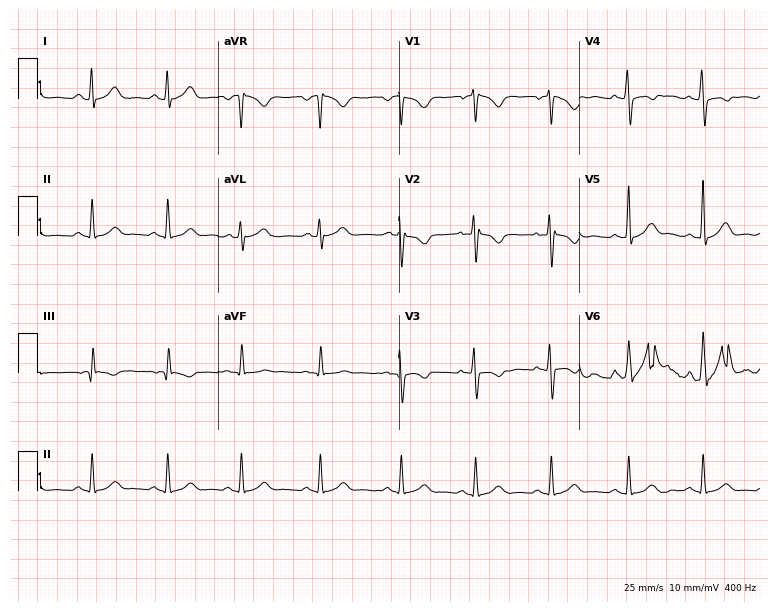
12-lead ECG from a female patient, 19 years old. Screened for six findings — first-degree AV block, right bundle branch block, left bundle branch block, sinus bradycardia, atrial fibrillation, sinus tachycardia — none is recorded.